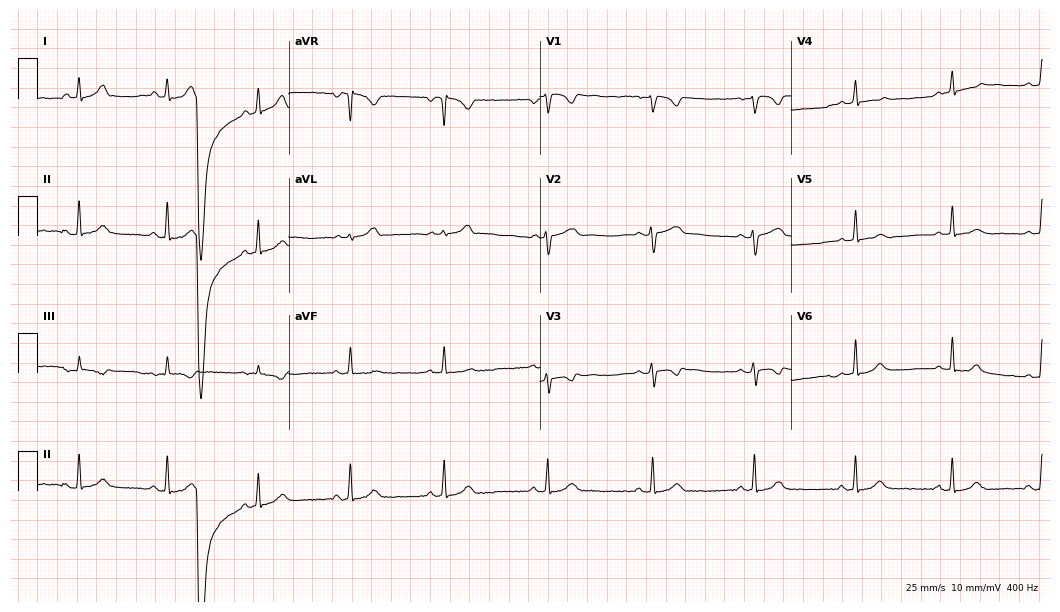
Electrocardiogram (10.2-second recording at 400 Hz), an 18-year-old female patient. Of the six screened findings (first-degree AV block, right bundle branch block (RBBB), left bundle branch block (LBBB), sinus bradycardia, atrial fibrillation (AF), sinus tachycardia), none is recorded.